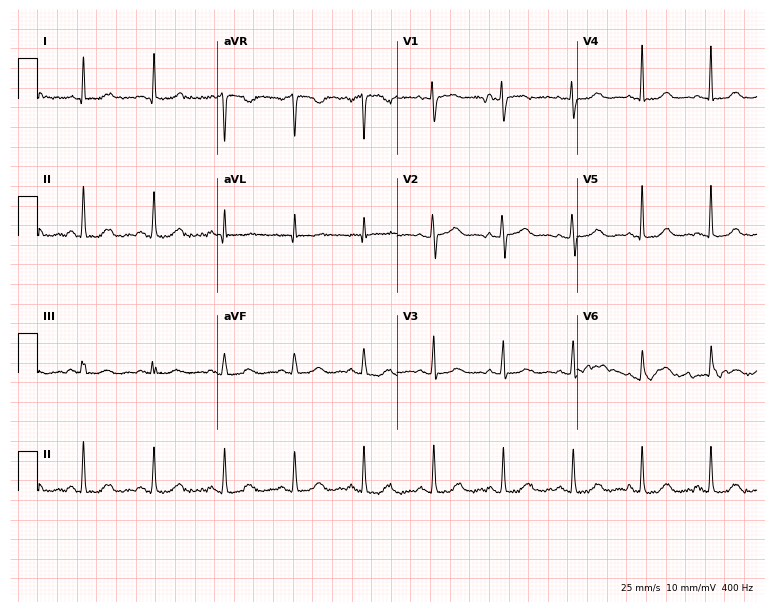
Electrocardiogram, a female patient, 66 years old. Overall reading on record: normal ECG.